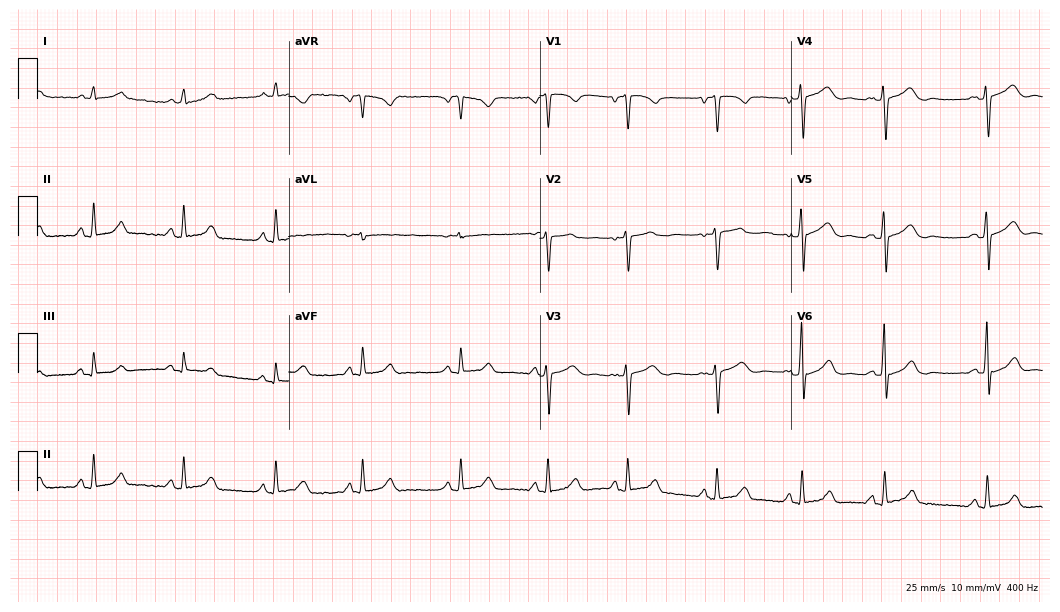
12-lead ECG (10.2-second recording at 400 Hz) from a female, 34 years old. Labelled as a normal ECG.